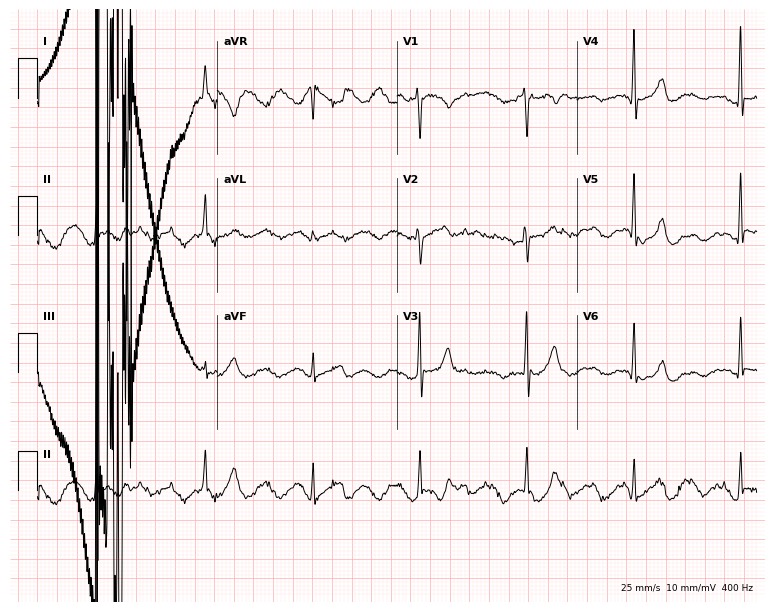
12-lead ECG from a male patient, 73 years old. Screened for six findings — first-degree AV block, right bundle branch block, left bundle branch block, sinus bradycardia, atrial fibrillation, sinus tachycardia — none is recorded.